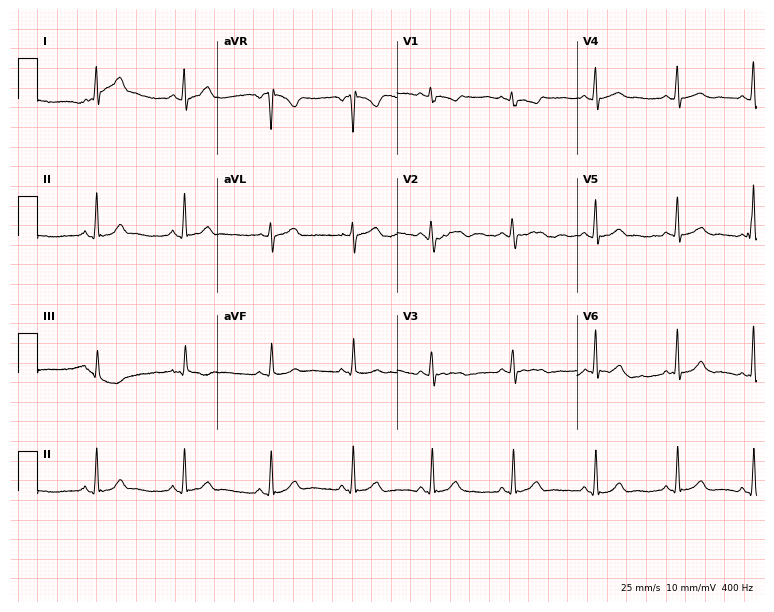
12-lead ECG from a female, 26 years old. Recorded interpretation: within normal limits.